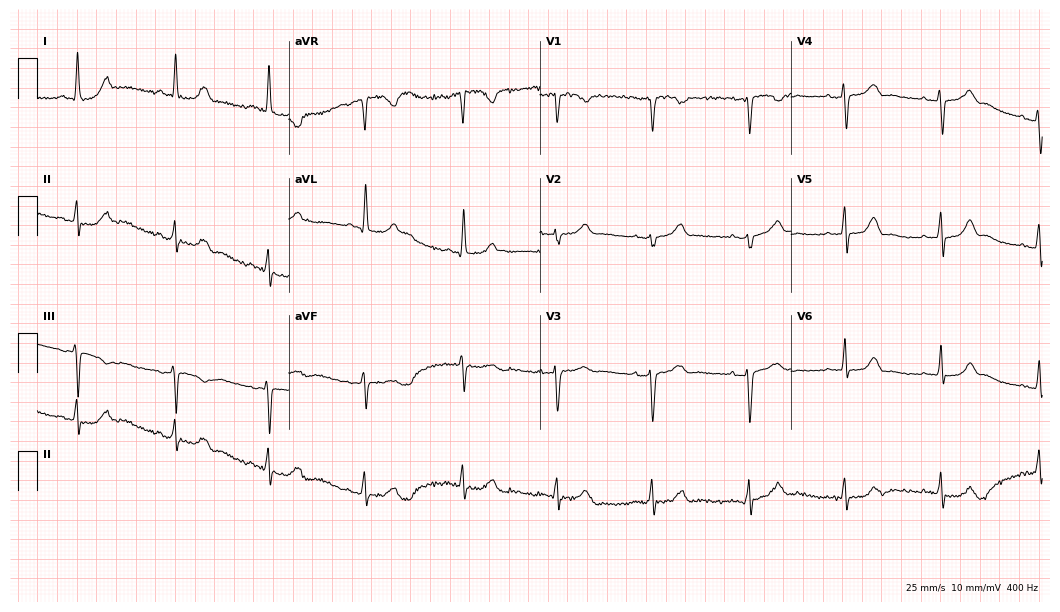
ECG (10.2-second recording at 400 Hz) — a female patient, 47 years old. Labelled as a normal ECG.